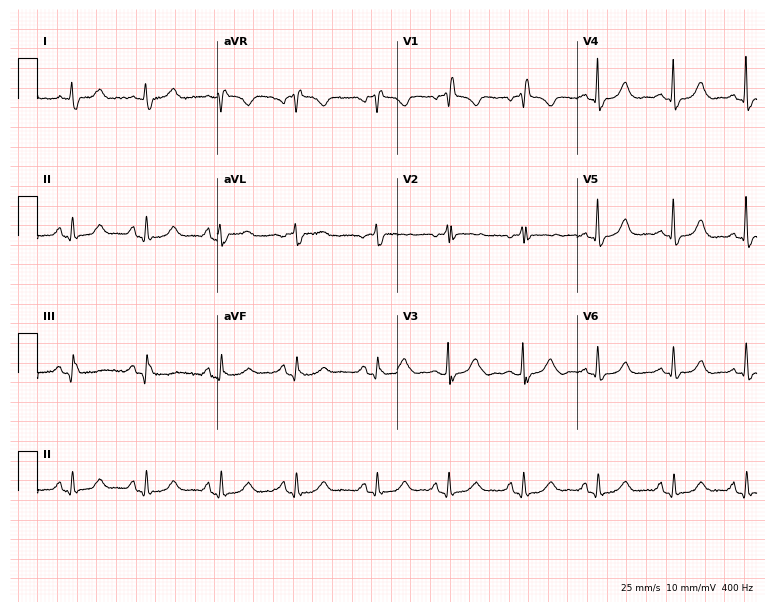
Standard 12-lead ECG recorded from a woman, 78 years old (7.3-second recording at 400 Hz). None of these six findings is recorded: first-degree AV block, right bundle branch block (RBBB), left bundle branch block (LBBB), sinus bradycardia, atrial fibrillation (AF), sinus tachycardia. Findings outside these six are not listed.